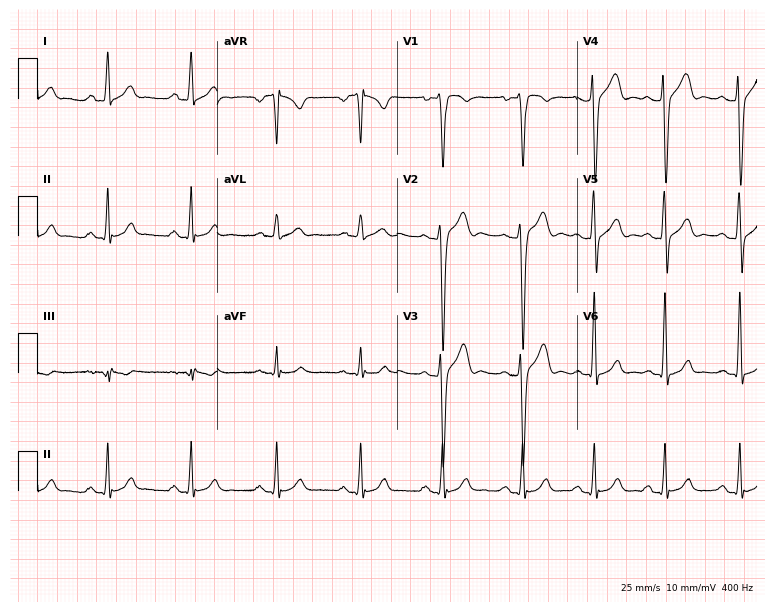
Resting 12-lead electrocardiogram. Patient: a 22-year-old man. None of these six findings is recorded: first-degree AV block, right bundle branch block (RBBB), left bundle branch block (LBBB), sinus bradycardia, atrial fibrillation (AF), sinus tachycardia. Findings outside these six are not listed.